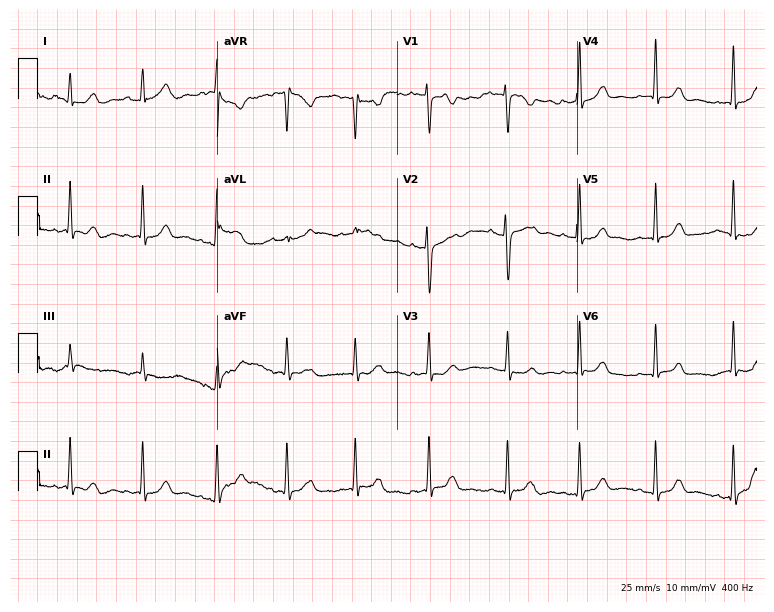
Standard 12-lead ECG recorded from a 30-year-old female patient (7.3-second recording at 400 Hz). Read as a normal ECG.